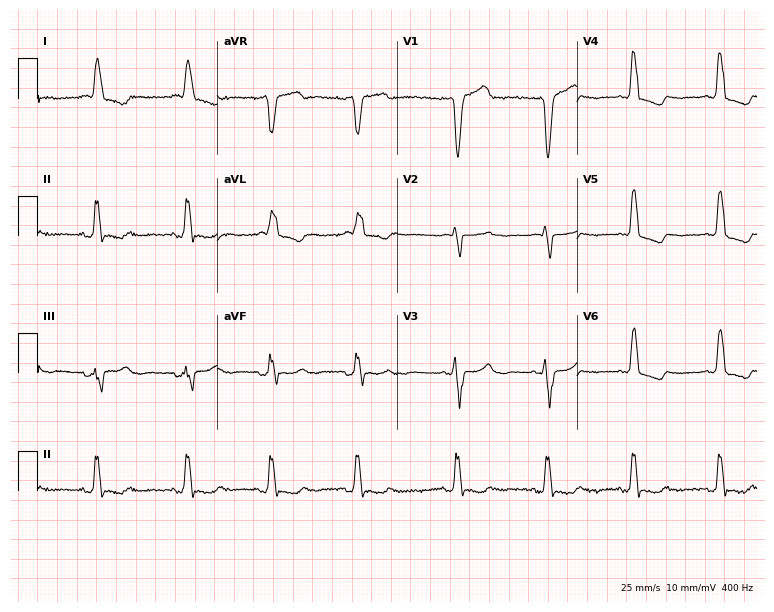
12-lead ECG from an 82-year-old female. Findings include left bundle branch block.